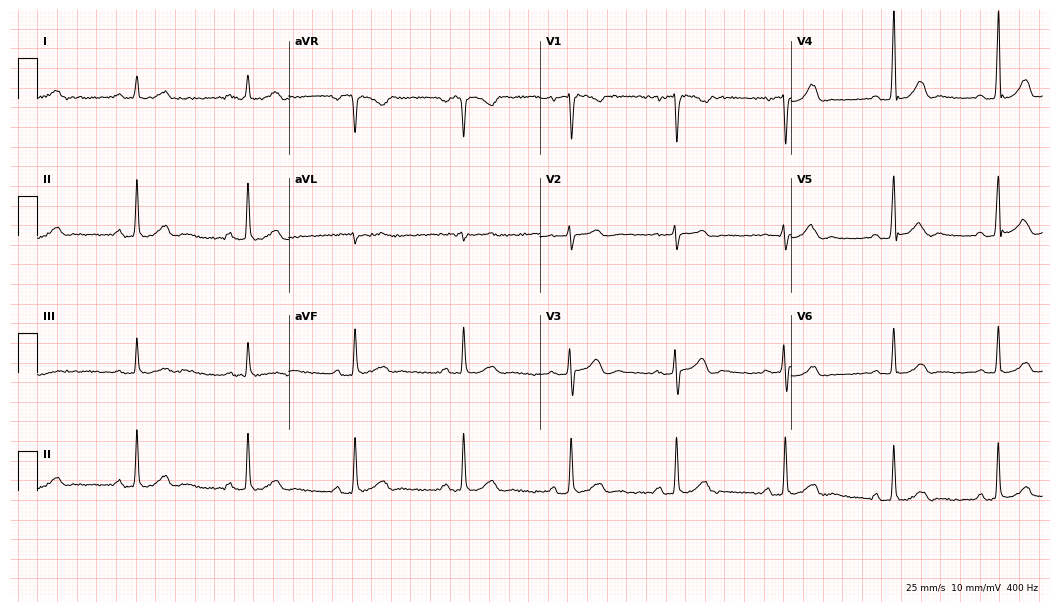
ECG (10.2-second recording at 400 Hz) — a 26-year-old male patient. Labelled as a normal ECG.